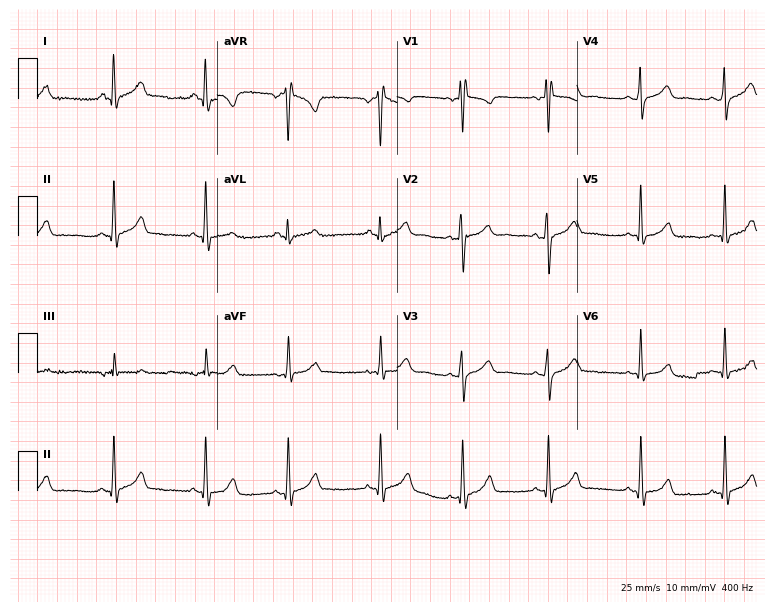
Resting 12-lead electrocardiogram (7.3-second recording at 400 Hz). Patient: a woman, 24 years old. None of these six findings is recorded: first-degree AV block, right bundle branch block, left bundle branch block, sinus bradycardia, atrial fibrillation, sinus tachycardia. Only these six findings were labelled.